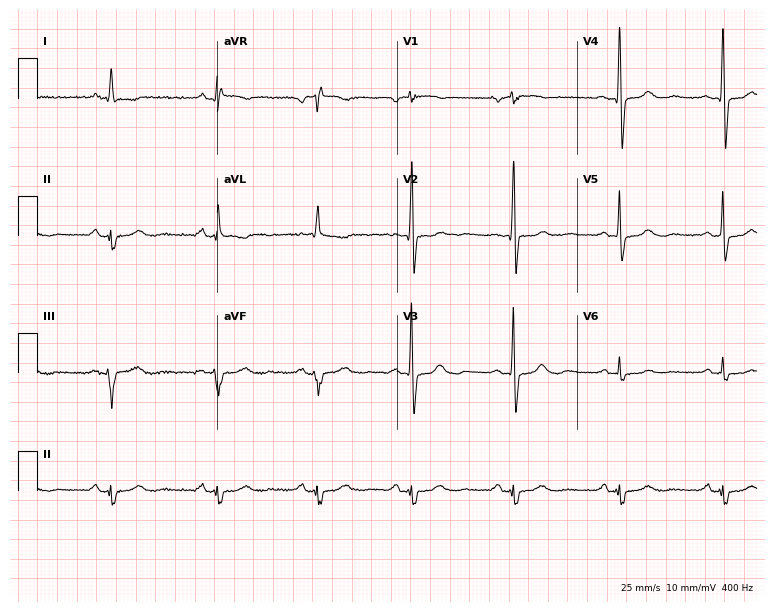
ECG — a 74-year-old female. Screened for six findings — first-degree AV block, right bundle branch block, left bundle branch block, sinus bradycardia, atrial fibrillation, sinus tachycardia — none is recorded. Findings outside these six are not listed.